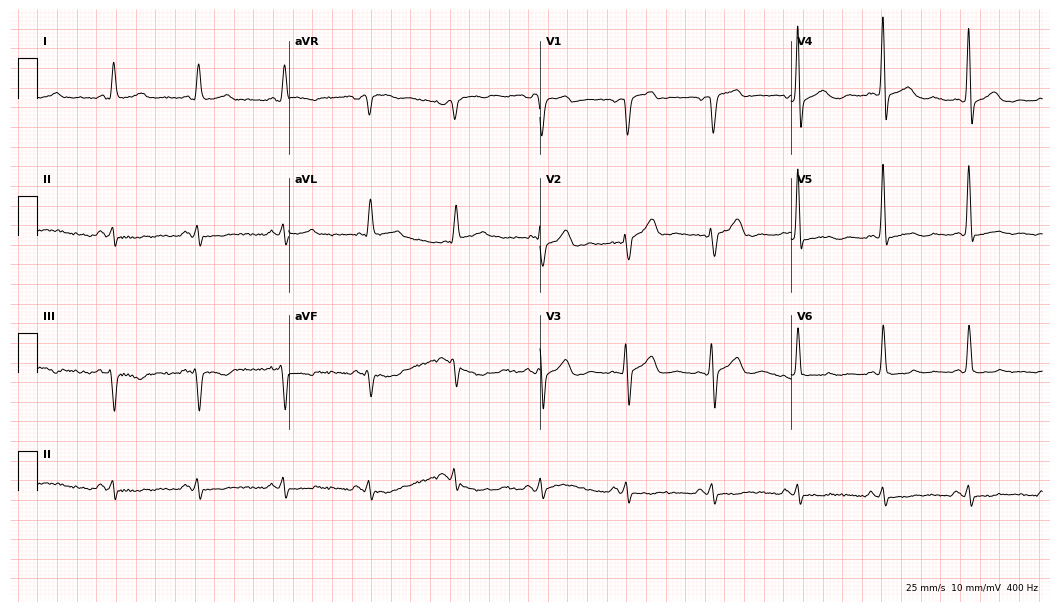
Electrocardiogram (10.2-second recording at 400 Hz), a male patient, 64 years old. Of the six screened findings (first-degree AV block, right bundle branch block (RBBB), left bundle branch block (LBBB), sinus bradycardia, atrial fibrillation (AF), sinus tachycardia), none is recorded.